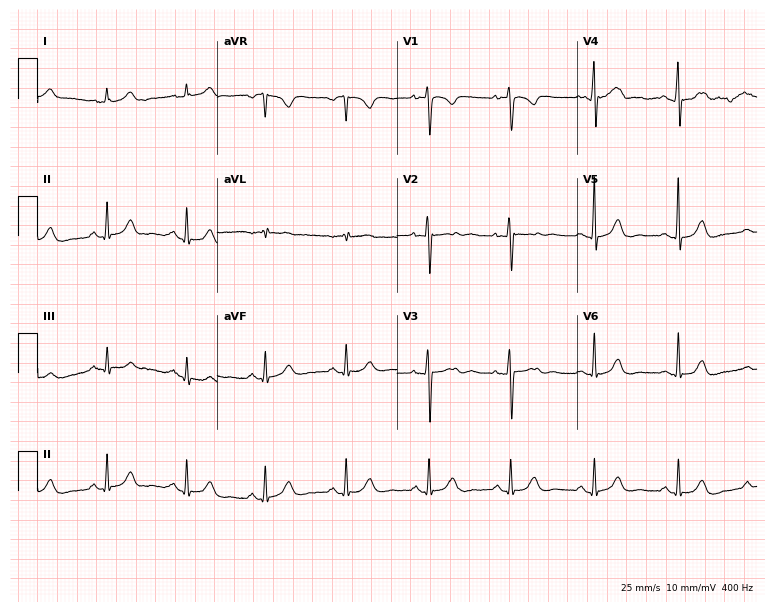
Electrocardiogram, a 50-year-old woman. Overall reading on record: normal ECG.